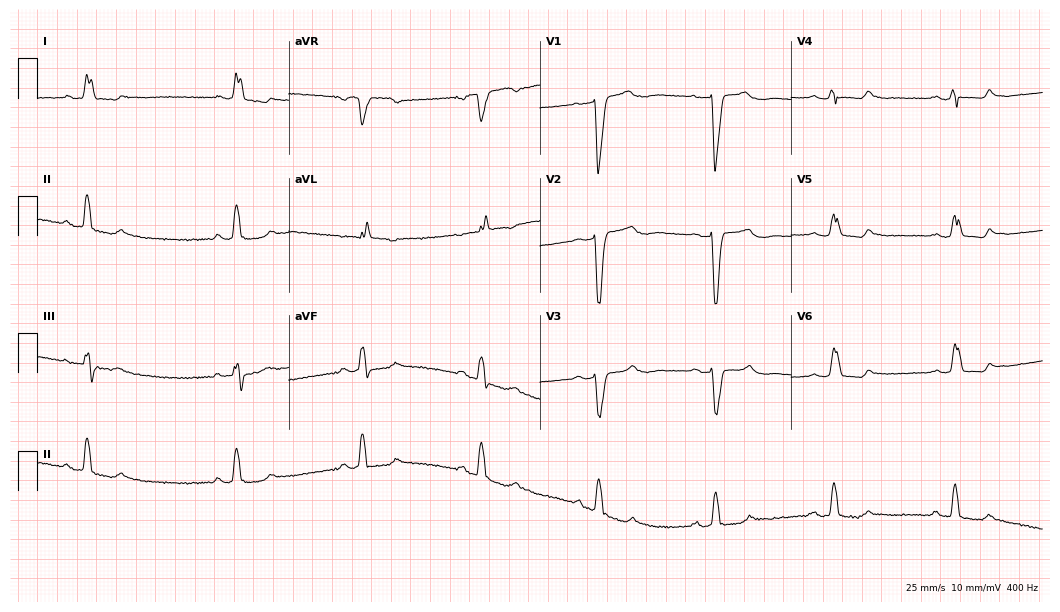
ECG (10.2-second recording at 400 Hz) — a 74-year-old woman. Findings include right bundle branch block (RBBB), left bundle branch block (LBBB).